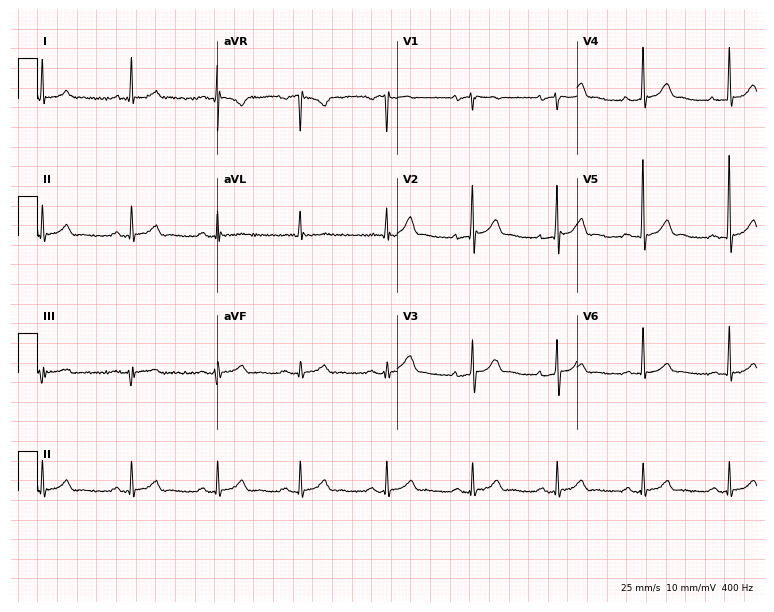
12-lead ECG (7.3-second recording at 400 Hz) from a man, 51 years old. Screened for six findings — first-degree AV block, right bundle branch block (RBBB), left bundle branch block (LBBB), sinus bradycardia, atrial fibrillation (AF), sinus tachycardia — none is recorded.